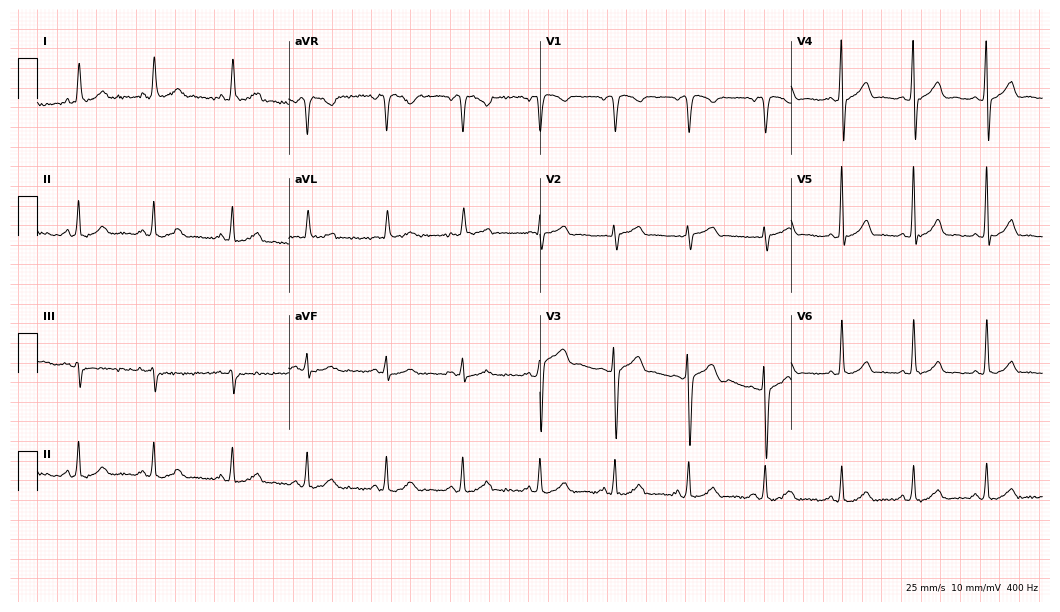
12-lead ECG (10.2-second recording at 400 Hz) from a 62-year-old male patient. Labelled as a normal ECG.